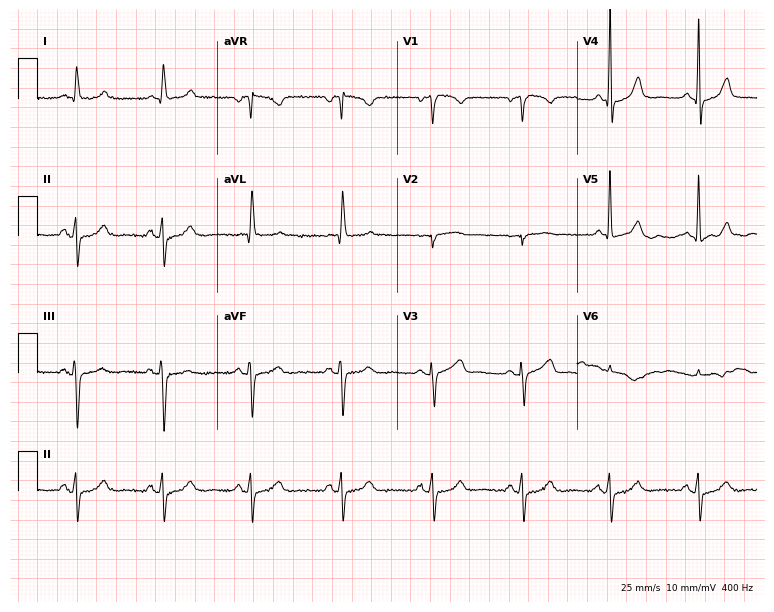
Standard 12-lead ECG recorded from a female, 66 years old (7.3-second recording at 400 Hz). None of these six findings is recorded: first-degree AV block, right bundle branch block (RBBB), left bundle branch block (LBBB), sinus bradycardia, atrial fibrillation (AF), sinus tachycardia.